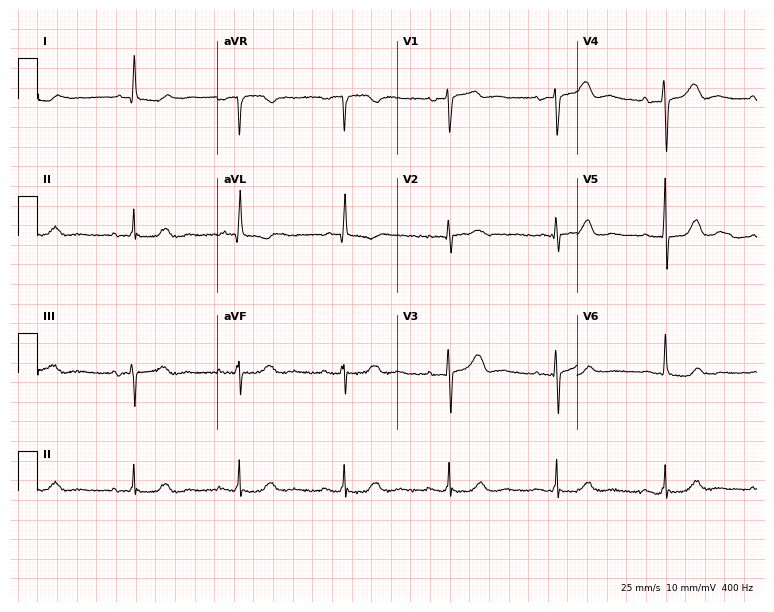
12-lead ECG (7.3-second recording at 400 Hz) from a 67-year-old female patient. Labelled as a normal ECG.